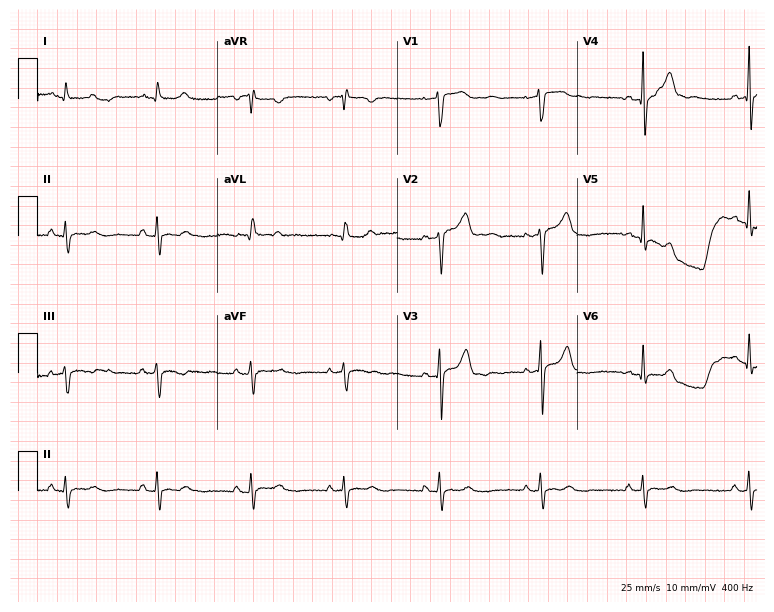
ECG (7.3-second recording at 400 Hz) — a woman, 45 years old. Screened for six findings — first-degree AV block, right bundle branch block, left bundle branch block, sinus bradycardia, atrial fibrillation, sinus tachycardia — none is recorded. Other findings, if any, are not listed.